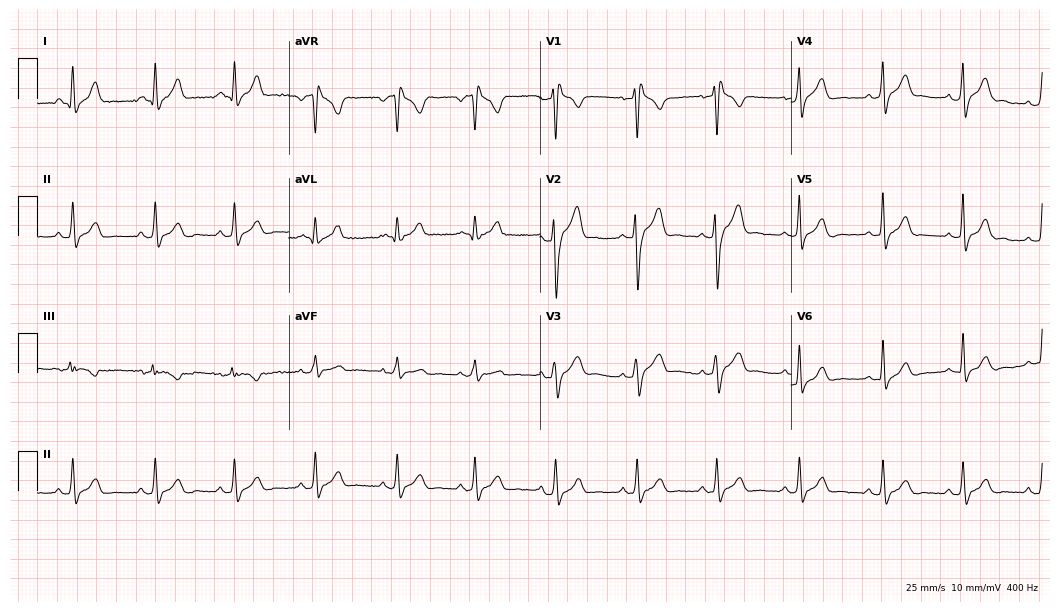
Resting 12-lead electrocardiogram. Patient: a male, 27 years old. None of these six findings is recorded: first-degree AV block, right bundle branch block, left bundle branch block, sinus bradycardia, atrial fibrillation, sinus tachycardia.